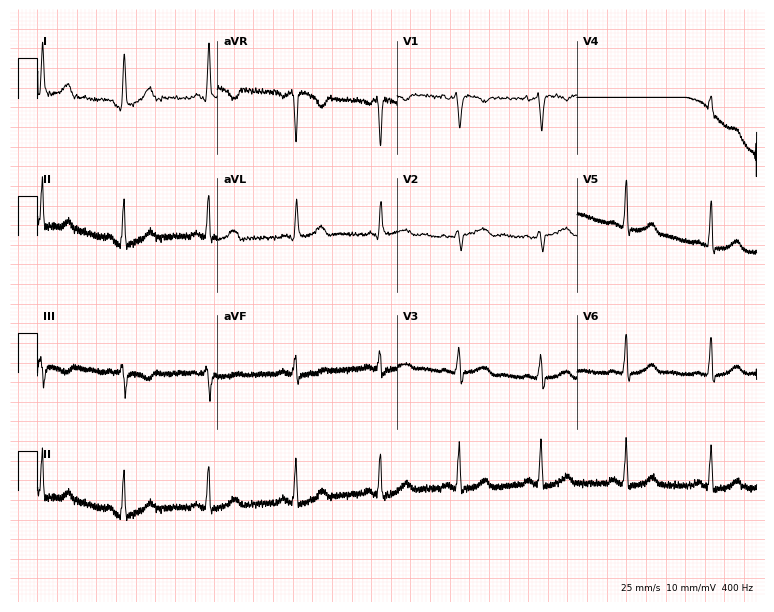
12-lead ECG (7.3-second recording at 400 Hz) from a 36-year-old female. Labelled as a normal ECG.